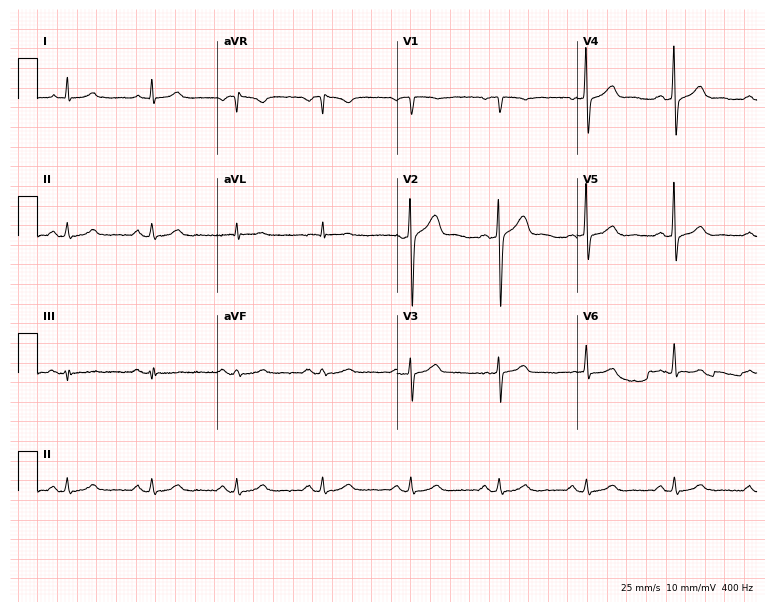
Resting 12-lead electrocardiogram (7.3-second recording at 400 Hz). Patient: a male, 56 years old. Read as a normal ECG.